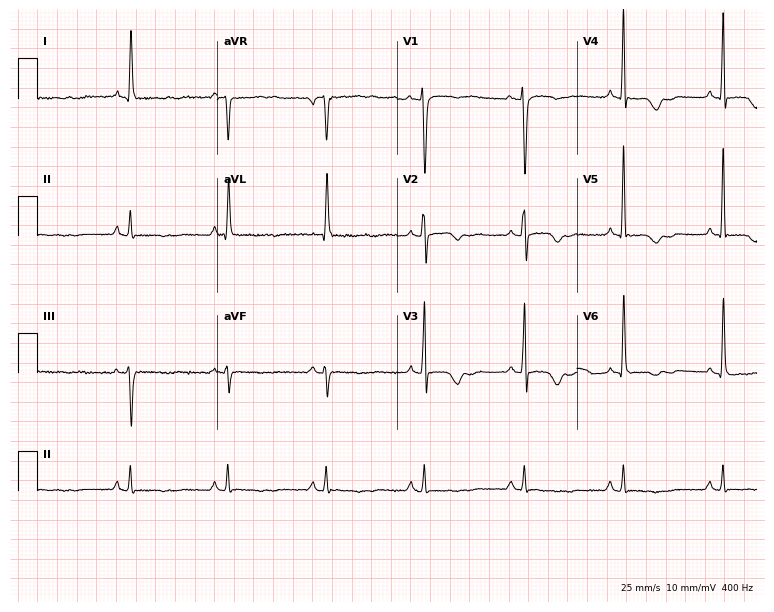
Standard 12-lead ECG recorded from a woman, 83 years old. None of these six findings is recorded: first-degree AV block, right bundle branch block, left bundle branch block, sinus bradycardia, atrial fibrillation, sinus tachycardia. Findings outside these six are not listed.